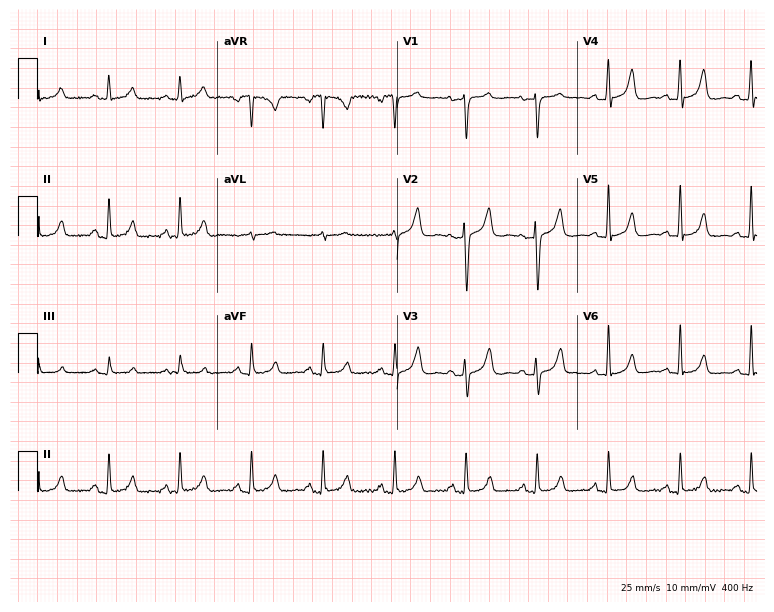
Standard 12-lead ECG recorded from a female patient, 78 years old. Read as a normal ECG.